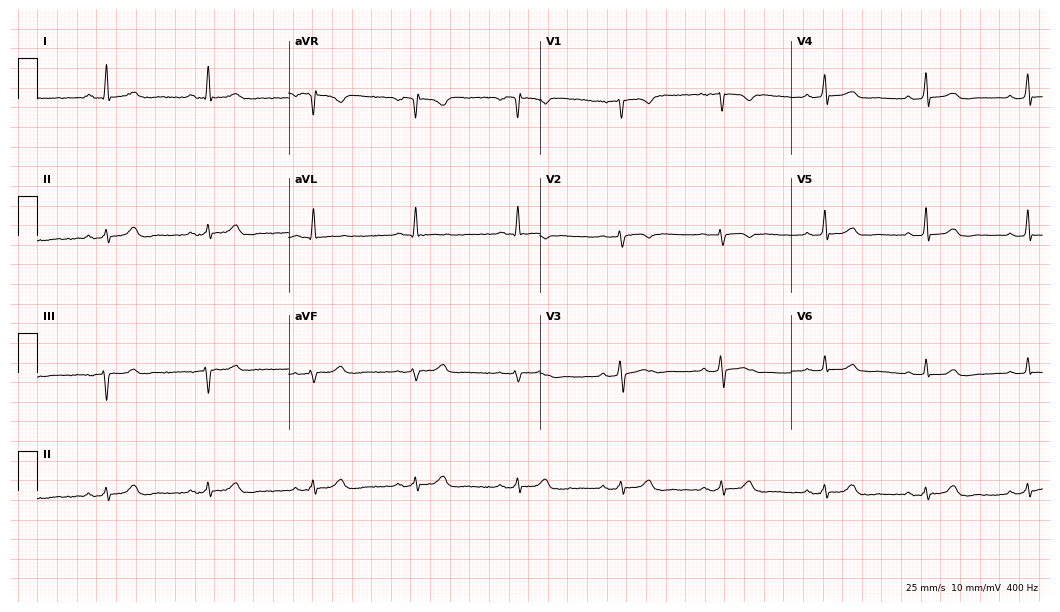
12-lead ECG (10.2-second recording at 400 Hz) from a 60-year-old female. Labelled as a normal ECG.